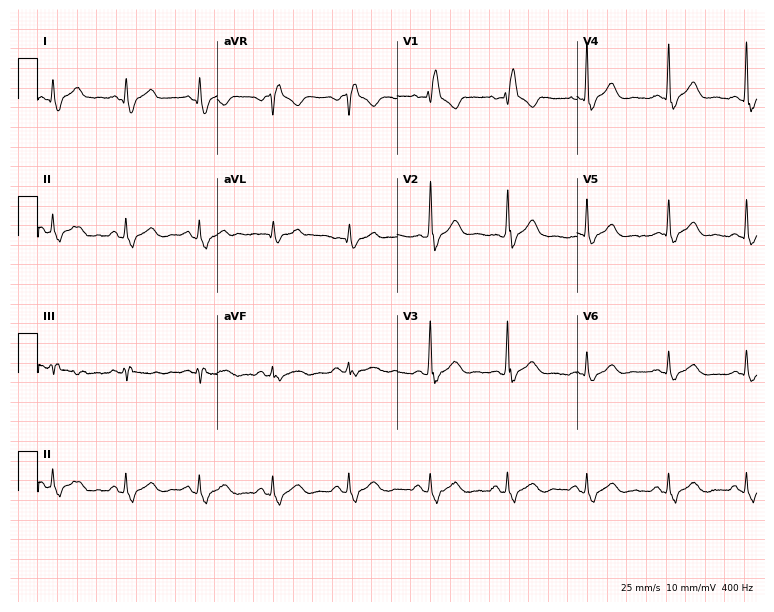
ECG — a woman, 53 years old. Findings include right bundle branch block (RBBB).